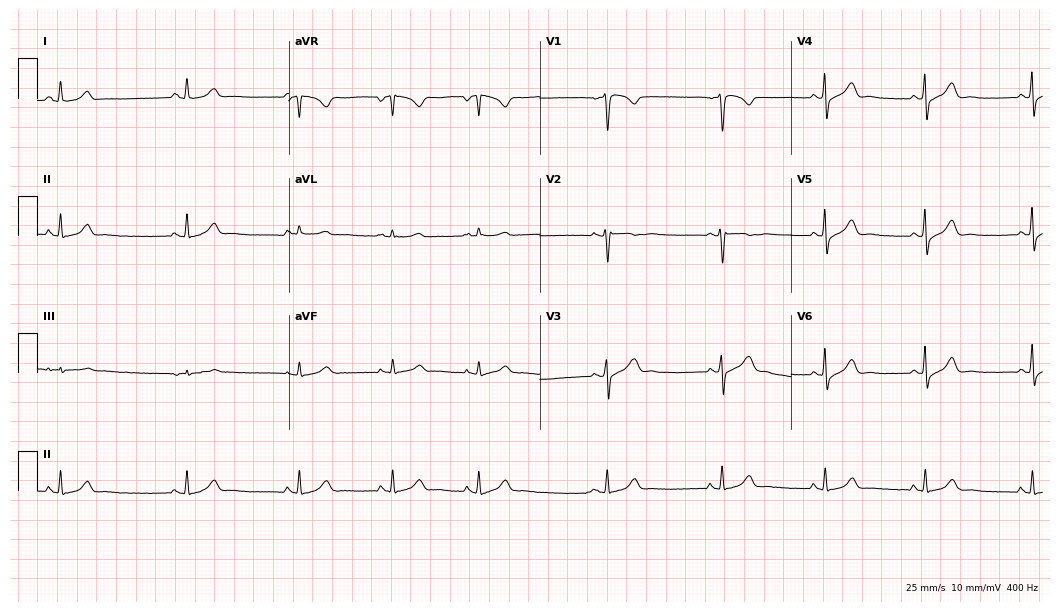
ECG — a female patient, 30 years old. Labelled as a normal ECG.